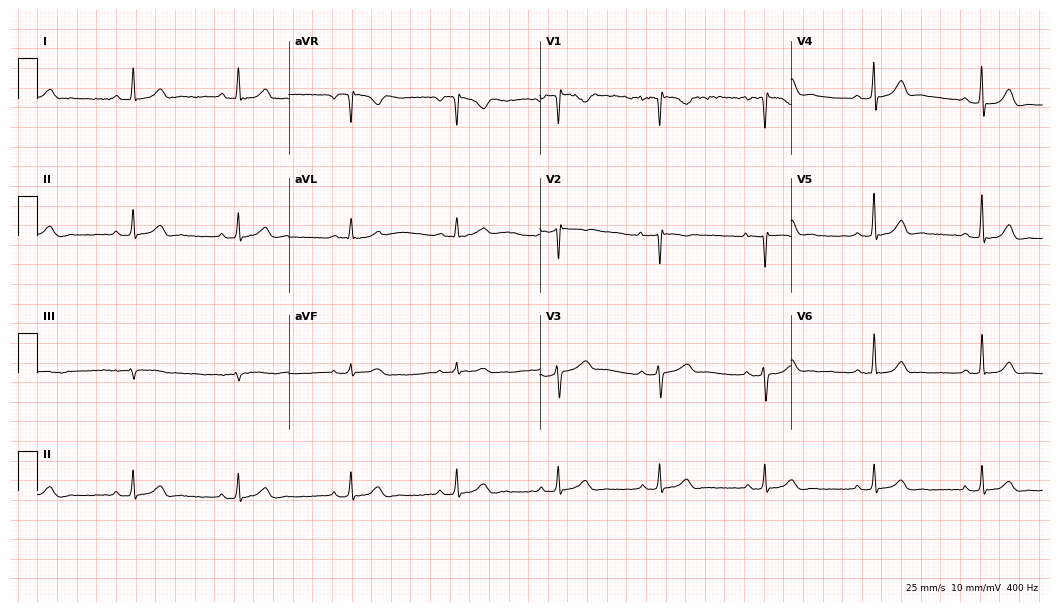
Resting 12-lead electrocardiogram (10.2-second recording at 400 Hz). Patient: a female, 27 years old. Read as a normal ECG.